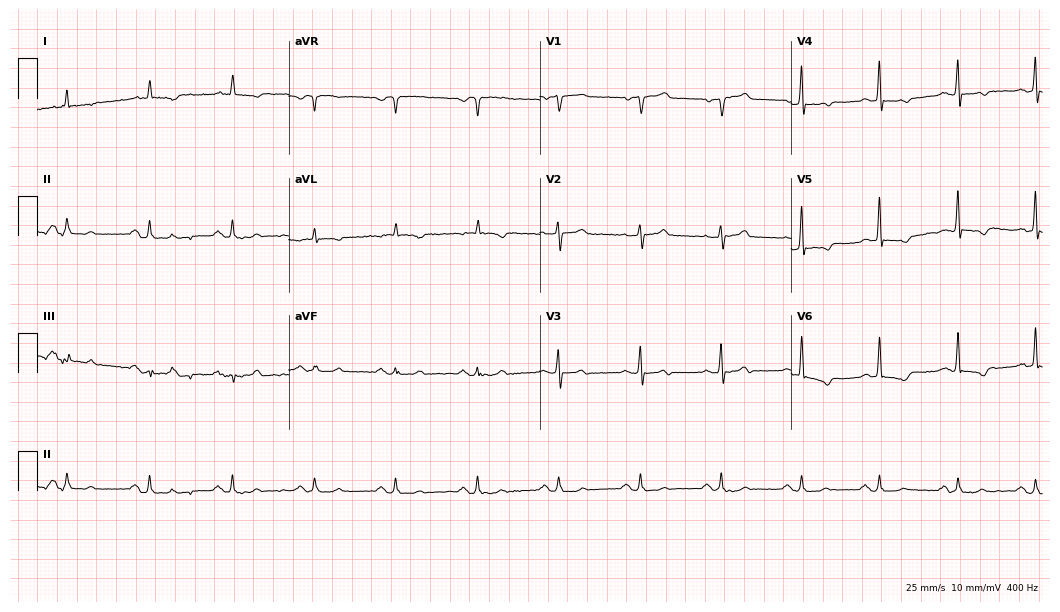
12-lead ECG from a 71-year-old male patient (10.2-second recording at 400 Hz). No first-degree AV block, right bundle branch block, left bundle branch block, sinus bradycardia, atrial fibrillation or sinus tachycardia recorded for this tracing. Findings outside these six are not listed.